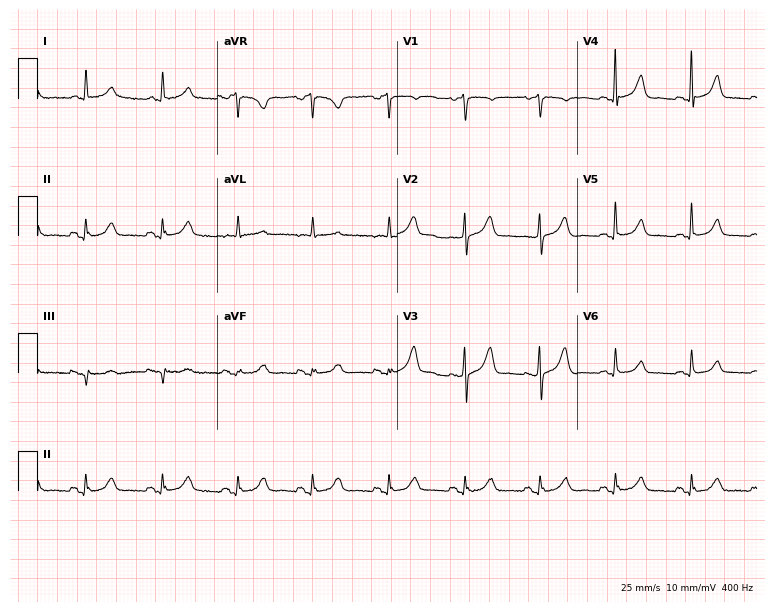
Electrocardiogram, an 84-year-old woman. Overall reading on record: normal ECG.